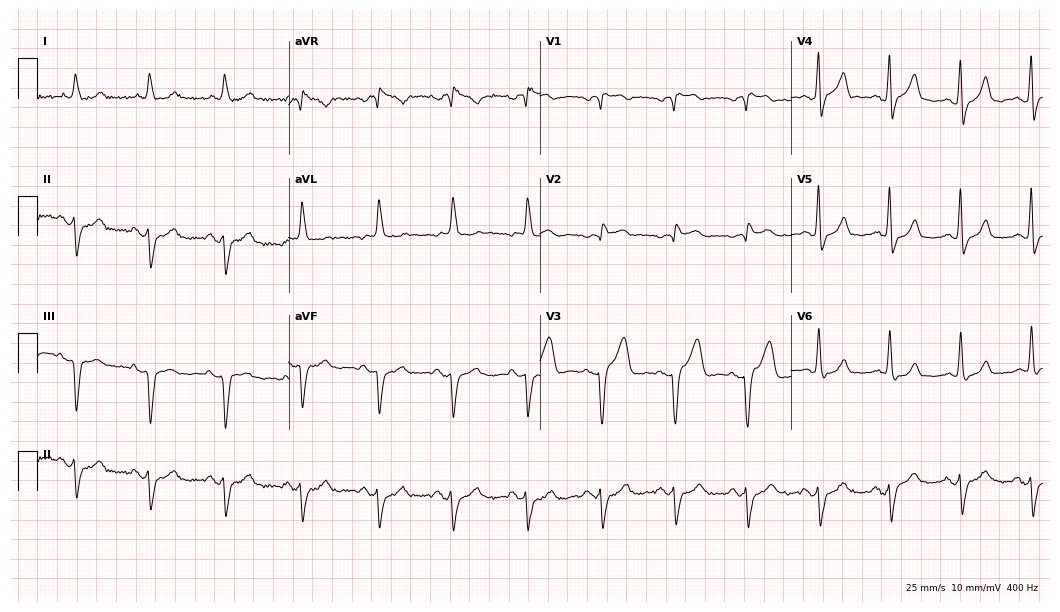
Resting 12-lead electrocardiogram. Patient: a man, 78 years old. None of these six findings is recorded: first-degree AV block, right bundle branch block, left bundle branch block, sinus bradycardia, atrial fibrillation, sinus tachycardia. Only these six findings were labelled.